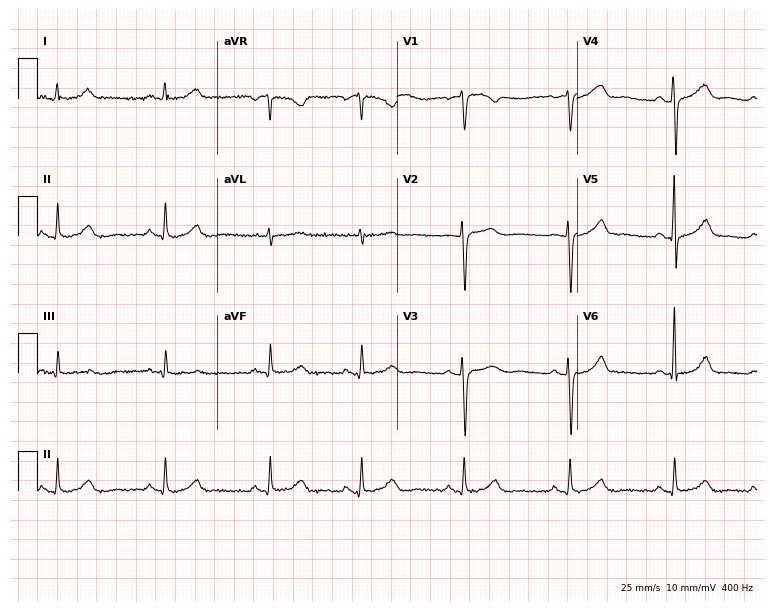
12-lead ECG from a 52-year-old woman. Recorded interpretation: within normal limits.